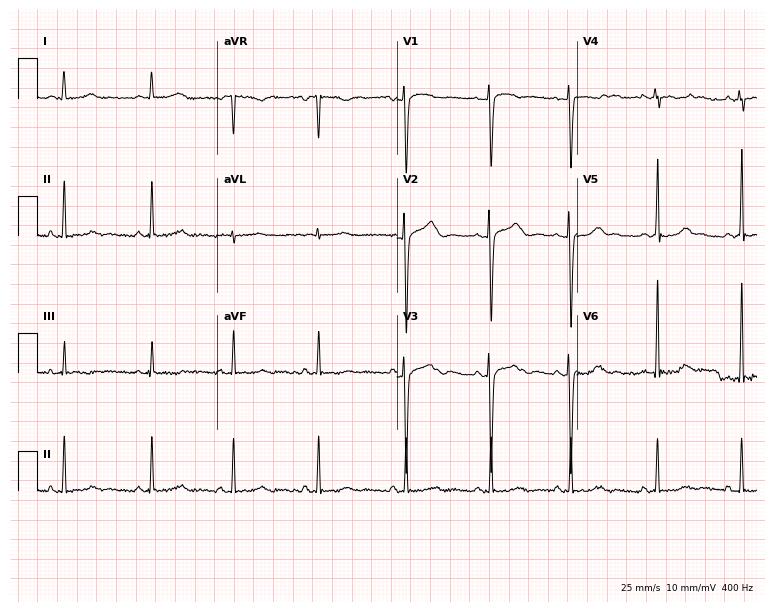
Electrocardiogram, a female, 40 years old. Overall reading on record: normal ECG.